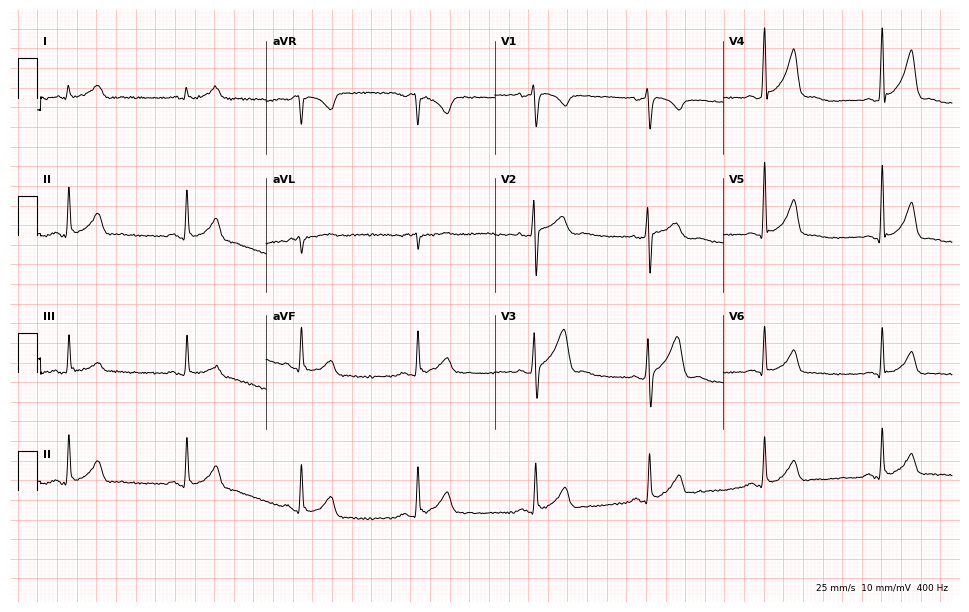
Standard 12-lead ECG recorded from a 36-year-old male patient (9.3-second recording at 400 Hz). Read as a normal ECG.